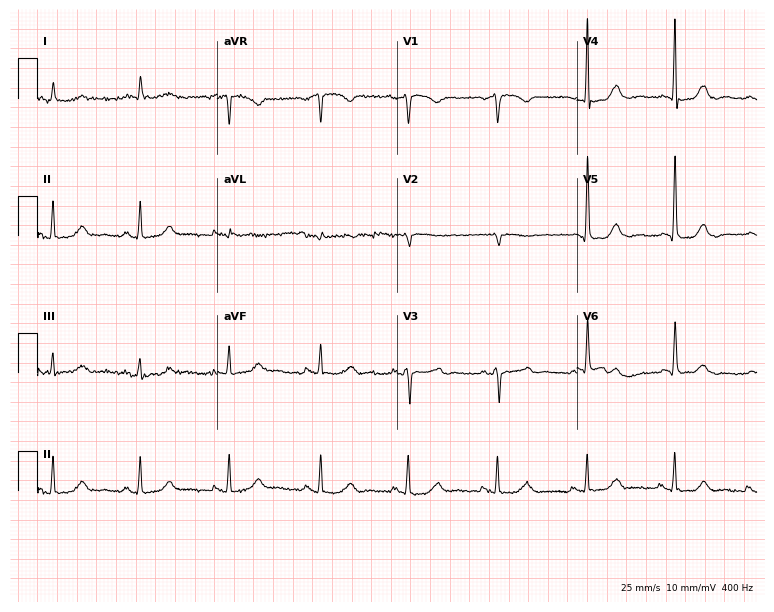
Electrocardiogram (7.3-second recording at 400 Hz), a 61-year-old male. Overall reading on record: normal ECG.